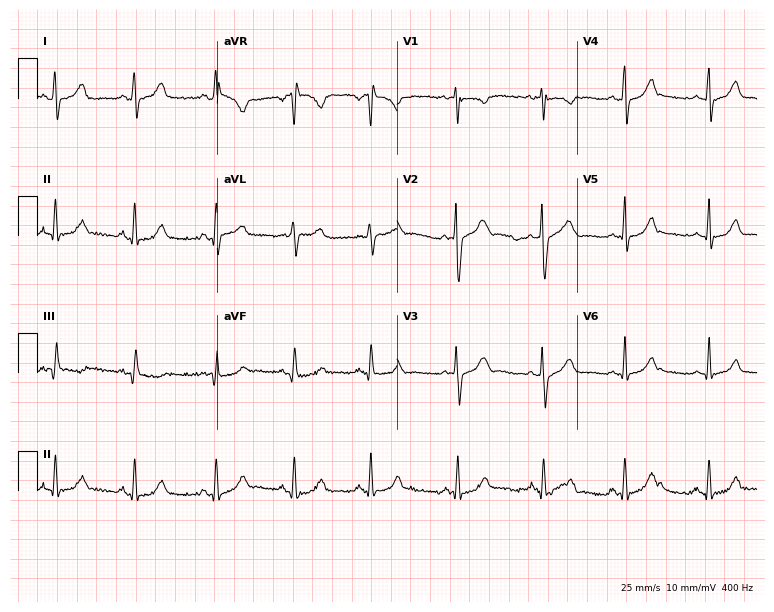
12-lead ECG from a female patient, 24 years old (7.3-second recording at 400 Hz). No first-degree AV block, right bundle branch block, left bundle branch block, sinus bradycardia, atrial fibrillation or sinus tachycardia recorded for this tracing. Only these six findings were labelled.